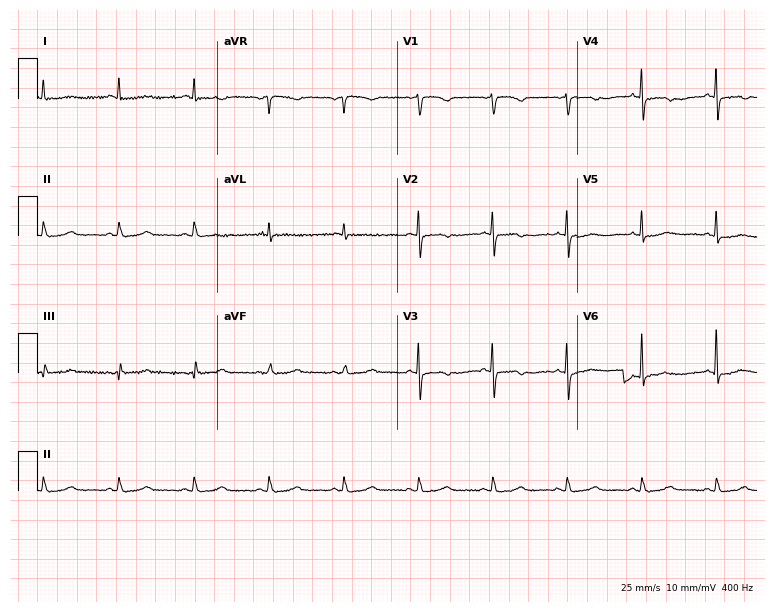
Electrocardiogram, a 76-year-old female patient. Of the six screened findings (first-degree AV block, right bundle branch block, left bundle branch block, sinus bradycardia, atrial fibrillation, sinus tachycardia), none is recorded.